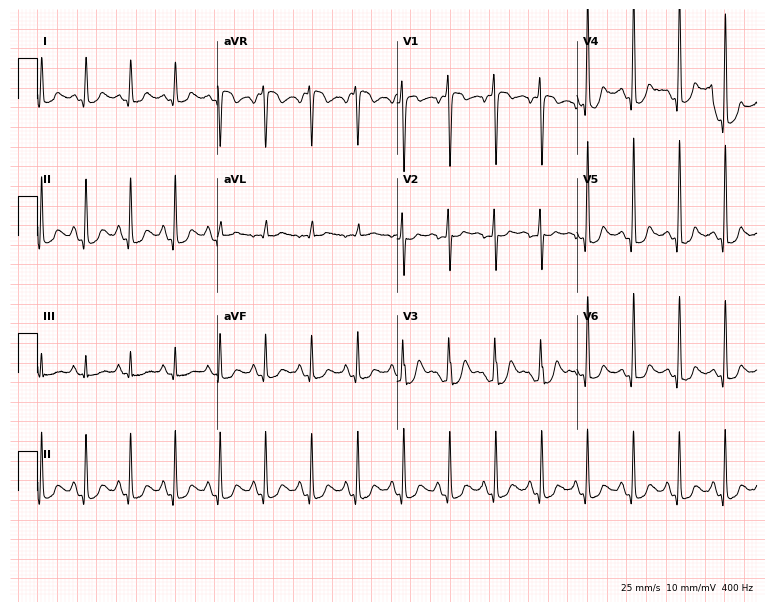
Electrocardiogram (7.3-second recording at 400 Hz), a 43-year-old female. Interpretation includes sinus tachycardia (a sinus rate of 100 beats per minute or more).